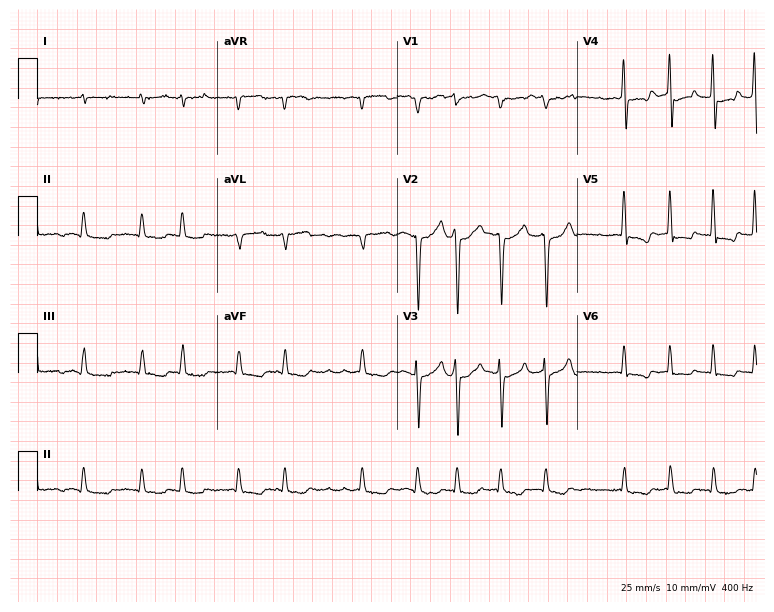
12-lead ECG (7.3-second recording at 400 Hz) from a 56-year-old male patient. Findings include atrial fibrillation.